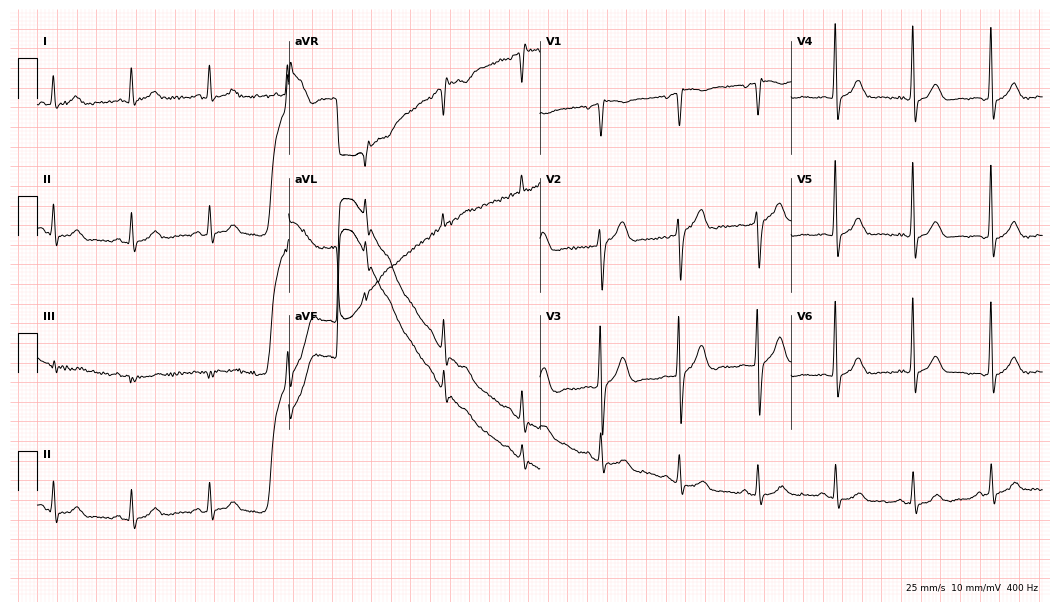
Standard 12-lead ECG recorded from a 74-year-old man (10.2-second recording at 400 Hz). None of these six findings is recorded: first-degree AV block, right bundle branch block, left bundle branch block, sinus bradycardia, atrial fibrillation, sinus tachycardia. Only these six findings were labelled.